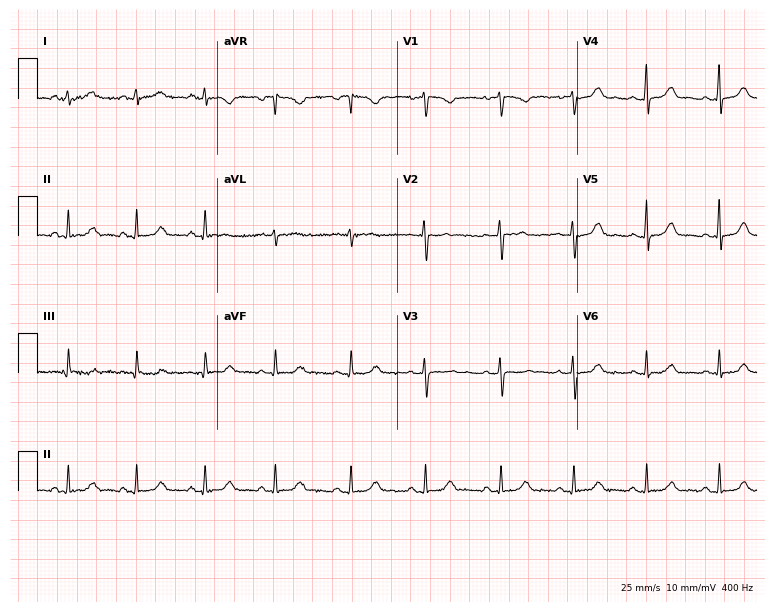
Electrocardiogram, a 21-year-old female. Overall reading on record: normal ECG.